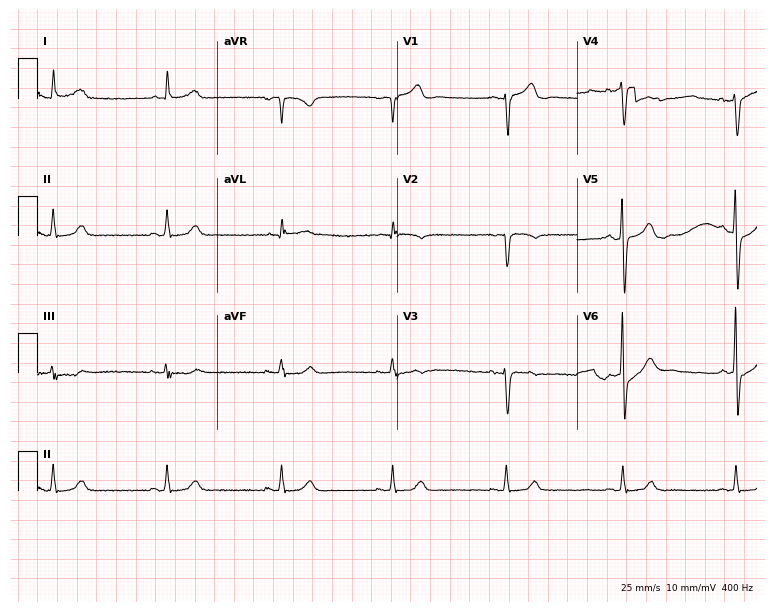
Standard 12-lead ECG recorded from a male patient, 43 years old (7.3-second recording at 400 Hz). None of these six findings is recorded: first-degree AV block, right bundle branch block, left bundle branch block, sinus bradycardia, atrial fibrillation, sinus tachycardia.